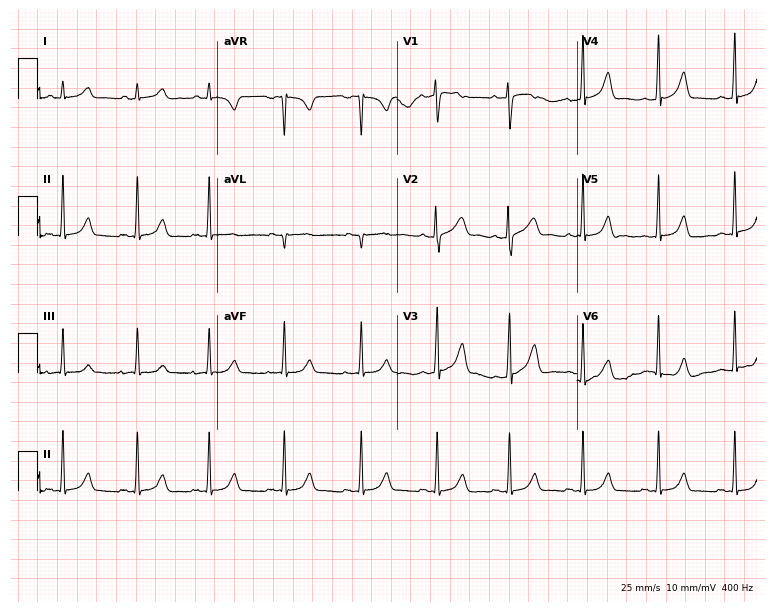
12-lead ECG from a woman, 28 years old. Labelled as a normal ECG.